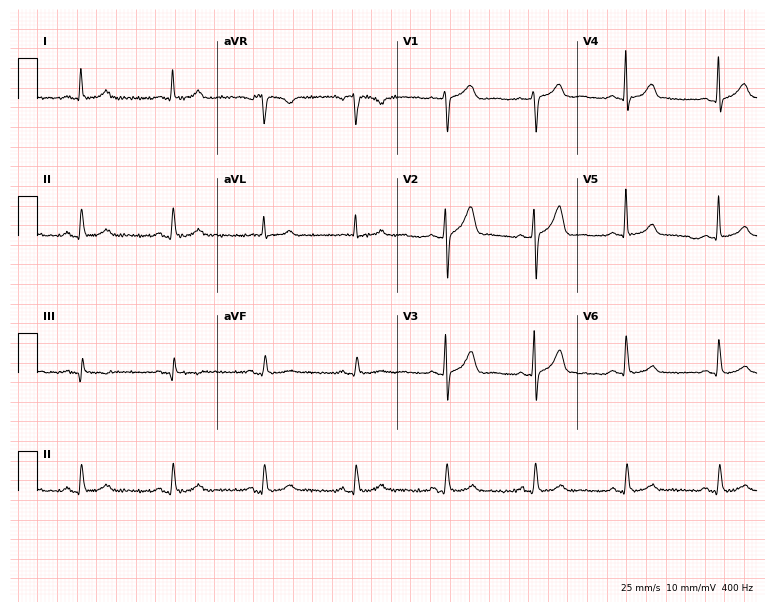
12-lead ECG from a 60-year-old male patient. Recorded interpretation: within normal limits.